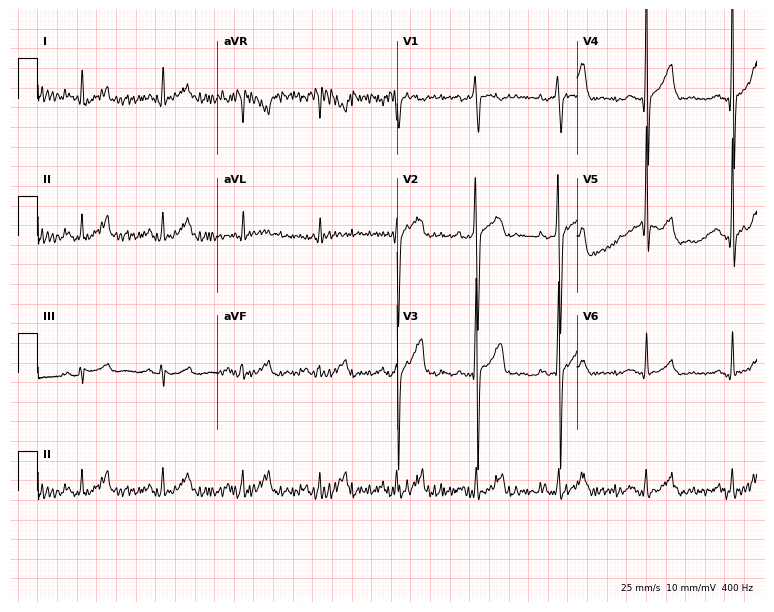
ECG (7.3-second recording at 400 Hz) — a 39-year-old male patient. Screened for six findings — first-degree AV block, right bundle branch block, left bundle branch block, sinus bradycardia, atrial fibrillation, sinus tachycardia — none is recorded. Other findings, if any, are not listed.